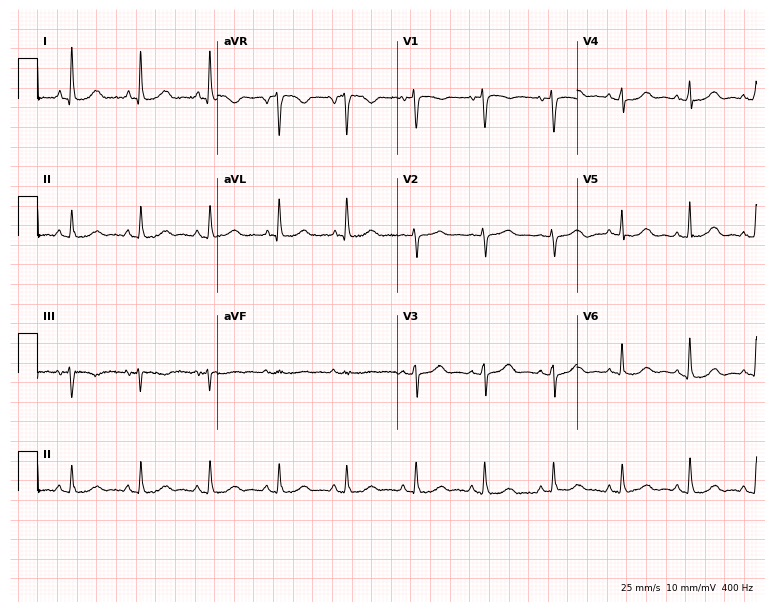
Resting 12-lead electrocardiogram. Patient: a 69-year-old female. None of these six findings is recorded: first-degree AV block, right bundle branch block, left bundle branch block, sinus bradycardia, atrial fibrillation, sinus tachycardia. Only these six findings were labelled.